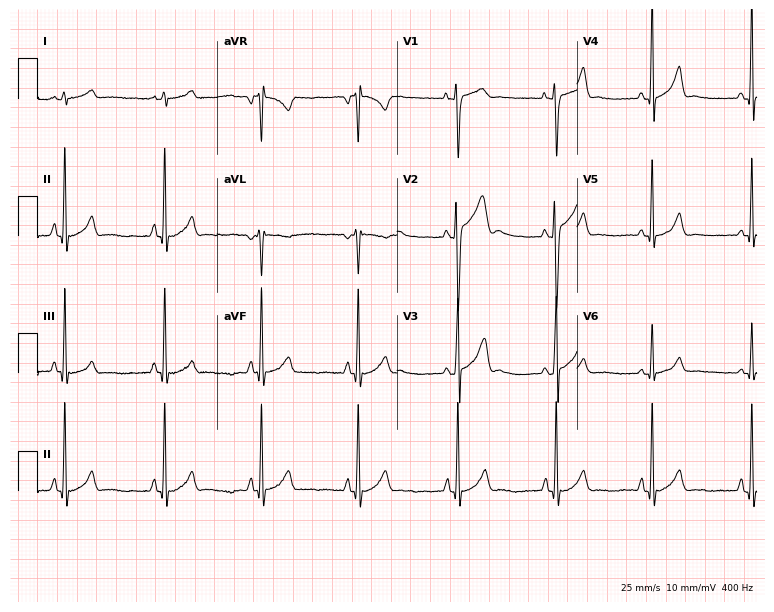
Resting 12-lead electrocardiogram (7.3-second recording at 400 Hz). Patient: a male, 17 years old. None of these six findings is recorded: first-degree AV block, right bundle branch block, left bundle branch block, sinus bradycardia, atrial fibrillation, sinus tachycardia.